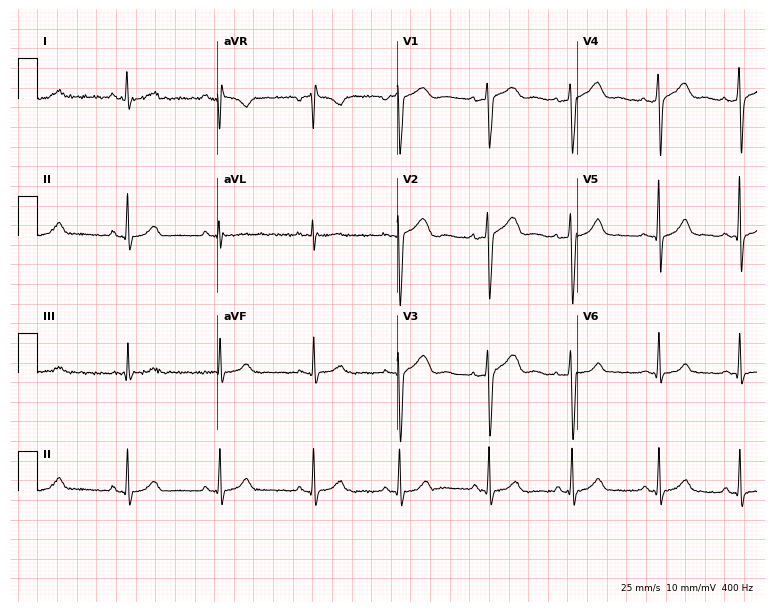
12-lead ECG from a female patient, 34 years old (7.3-second recording at 400 Hz). No first-degree AV block, right bundle branch block (RBBB), left bundle branch block (LBBB), sinus bradycardia, atrial fibrillation (AF) or sinus tachycardia recorded for this tracing. Other findings, if any, are not listed.